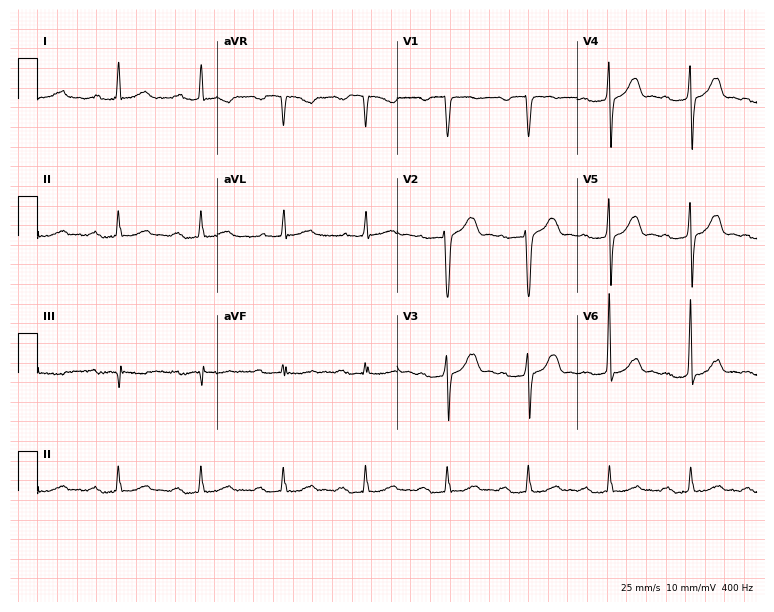
12-lead ECG (7.3-second recording at 400 Hz) from a male, 67 years old. Findings include first-degree AV block.